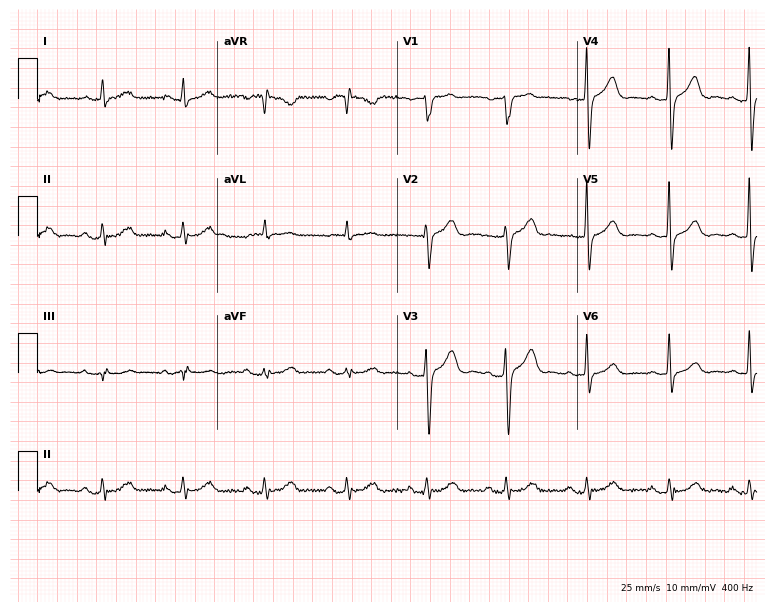
12-lead ECG (7.3-second recording at 400 Hz) from a 60-year-old male. Labelled as a normal ECG.